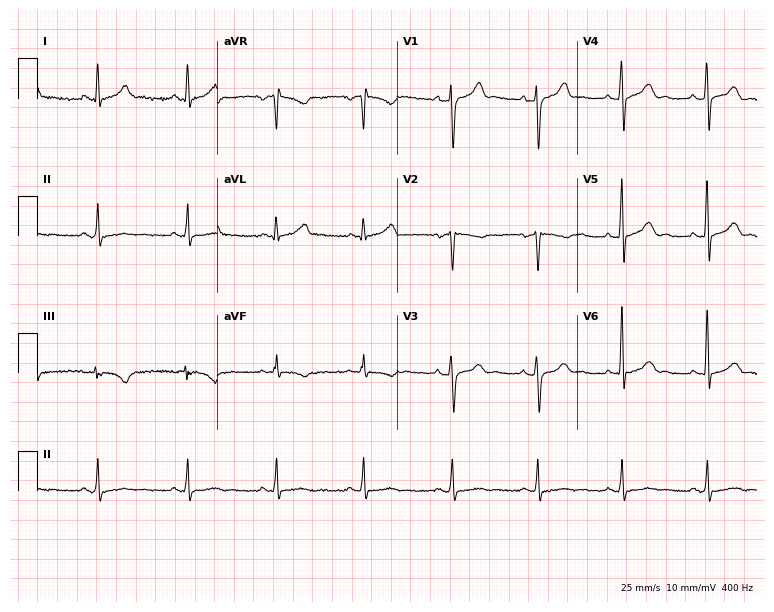
Standard 12-lead ECG recorded from a man, 53 years old (7.3-second recording at 400 Hz). Read as a normal ECG.